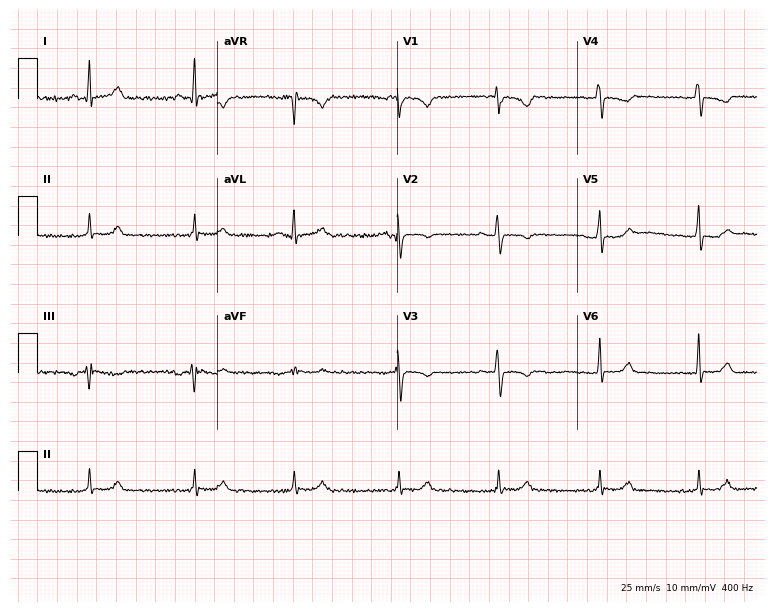
12-lead ECG from a 50-year-old woman. Recorded interpretation: within normal limits.